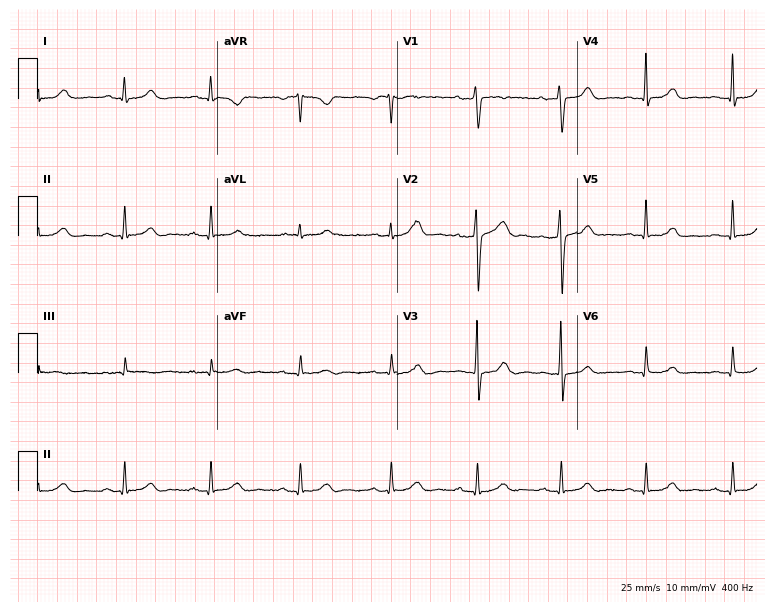
Standard 12-lead ECG recorded from a 51-year-old female. Read as a normal ECG.